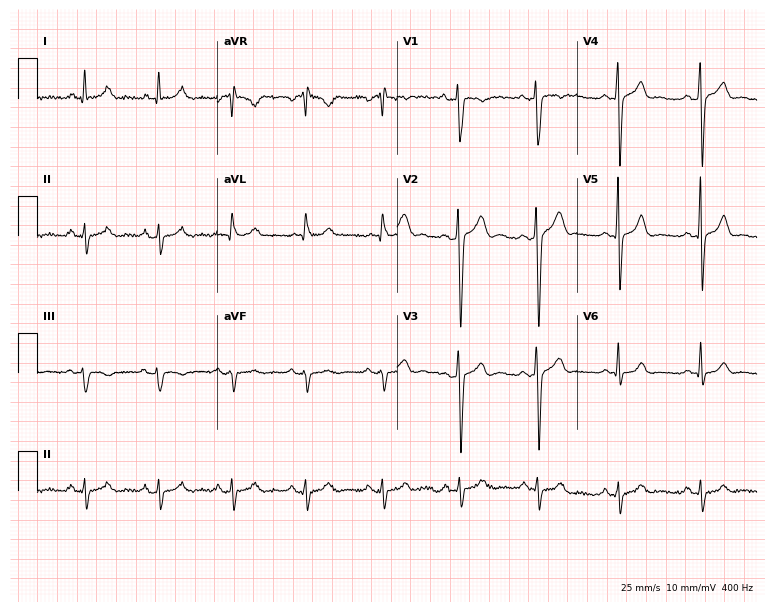
12-lead ECG from a 46-year-old male patient (7.3-second recording at 400 Hz). No first-degree AV block, right bundle branch block, left bundle branch block, sinus bradycardia, atrial fibrillation or sinus tachycardia recorded for this tracing.